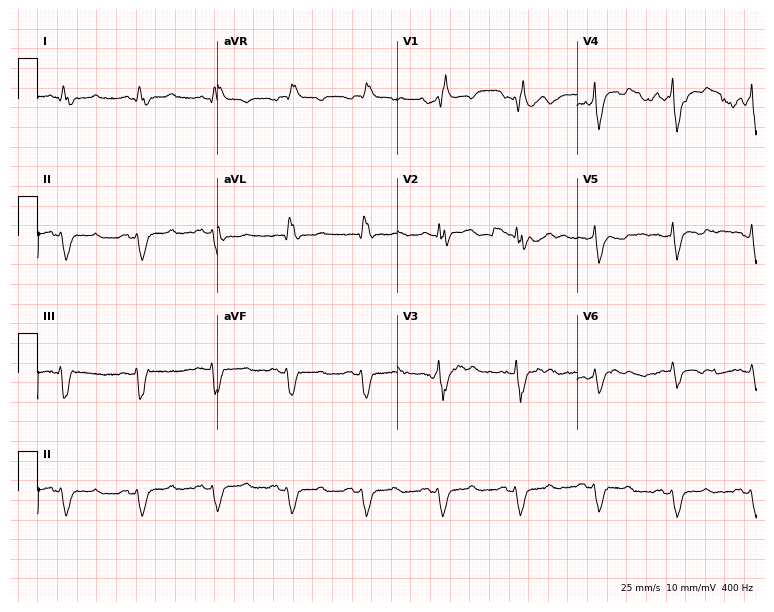
ECG — a 47-year-old man. Findings include right bundle branch block (RBBB).